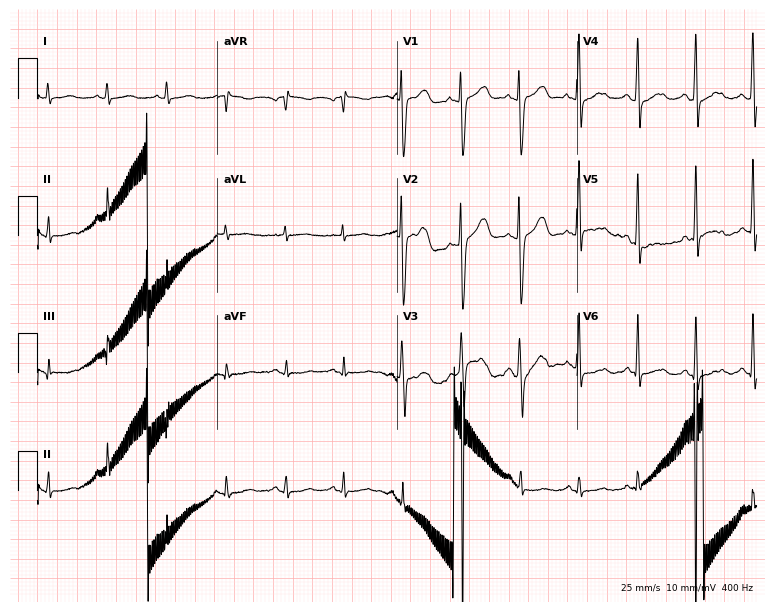
12-lead ECG from a female patient, 50 years old (7.3-second recording at 400 Hz). No first-degree AV block, right bundle branch block, left bundle branch block, sinus bradycardia, atrial fibrillation or sinus tachycardia recorded for this tracing. Findings outside these six are not listed.